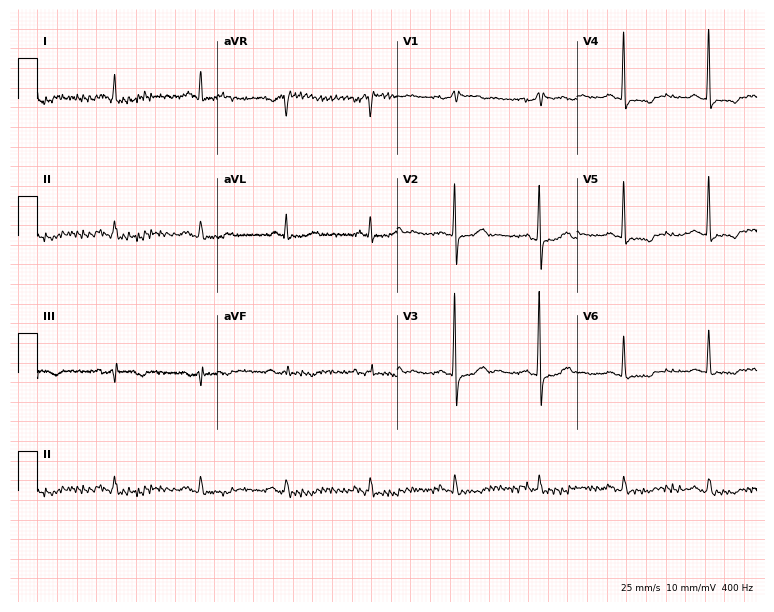
Resting 12-lead electrocardiogram (7.3-second recording at 400 Hz). Patient: a 63-year-old man. None of these six findings is recorded: first-degree AV block, right bundle branch block, left bundle branch block, sinus bradycardia, atrial fibrillation, sinus tachycardia.